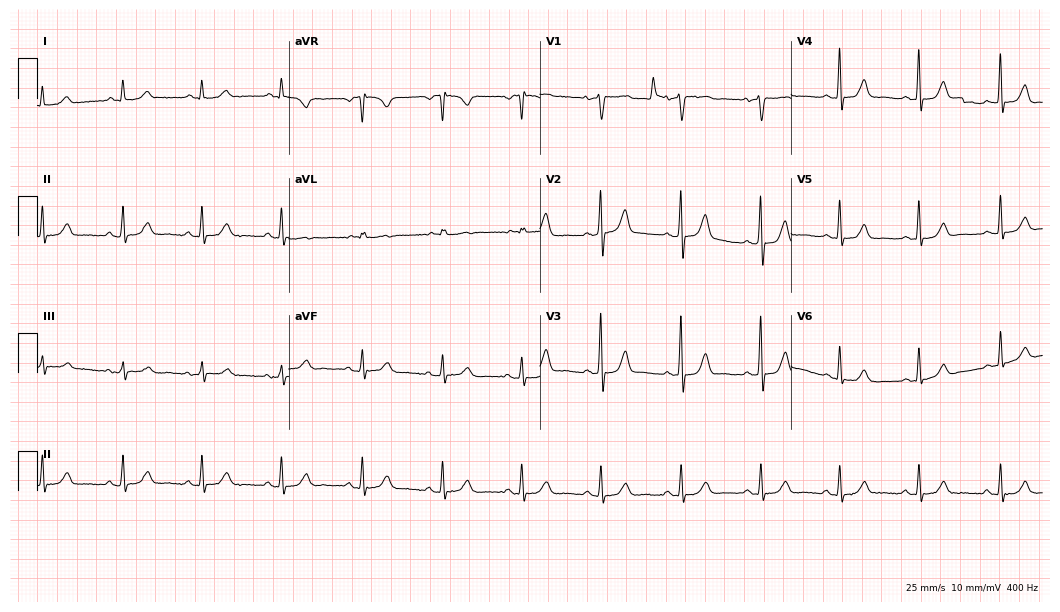
ECG — a female patient, 66 years old. Labelled as a normal ECG.